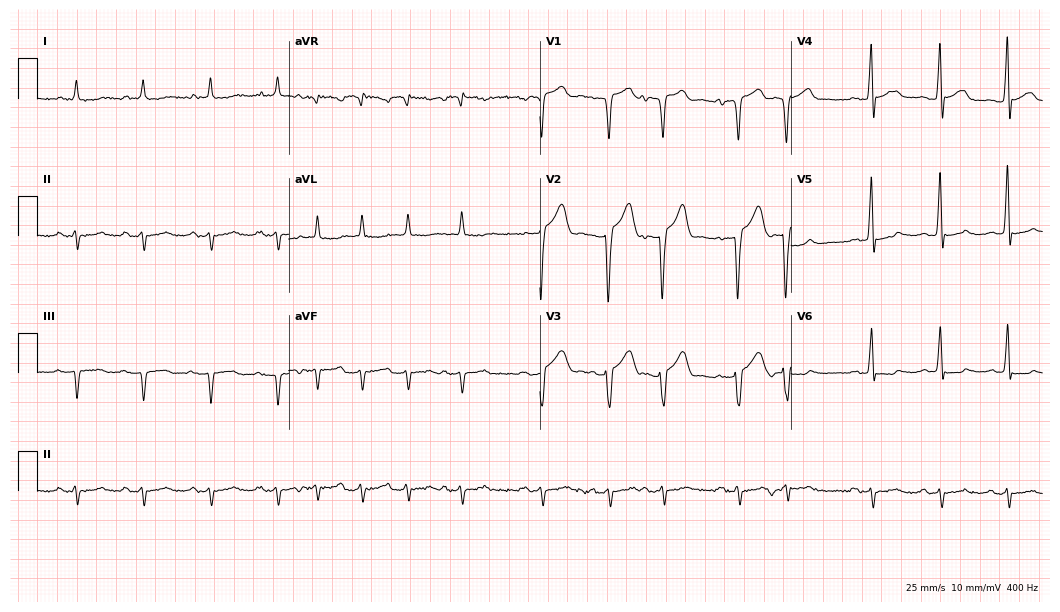
Resting 12-lead electrocardiogram (10.2-second recording at 400 Hz). Patient: a man, 81 years old. None of these six findings is recorded: first-degree AV block, right bundle branch block (RBBB), left bundle branch block (LBBB), sinus bradycardia, atrial fibrillation (AF), sinus tachycardia. Only these six findings were labelled.